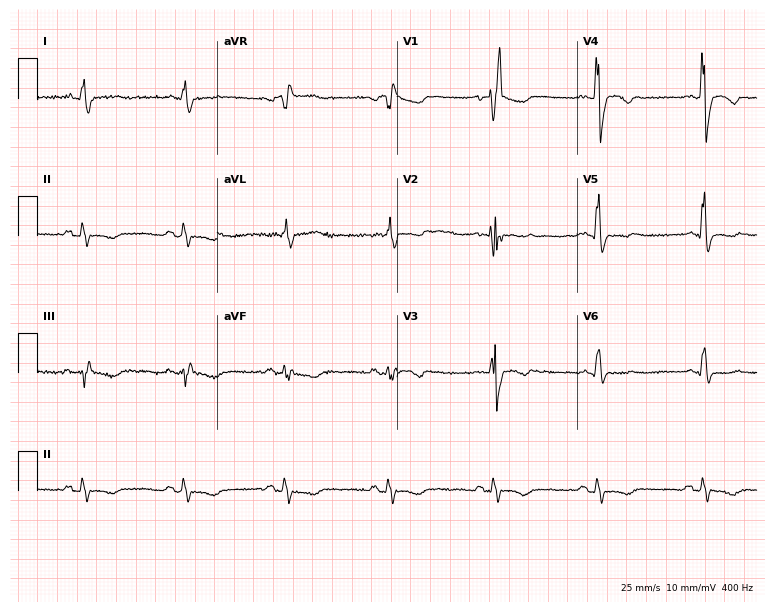
Standard 12-lead ECG recorded from a 55-year-old man. The tracing shows right bundle branch block.